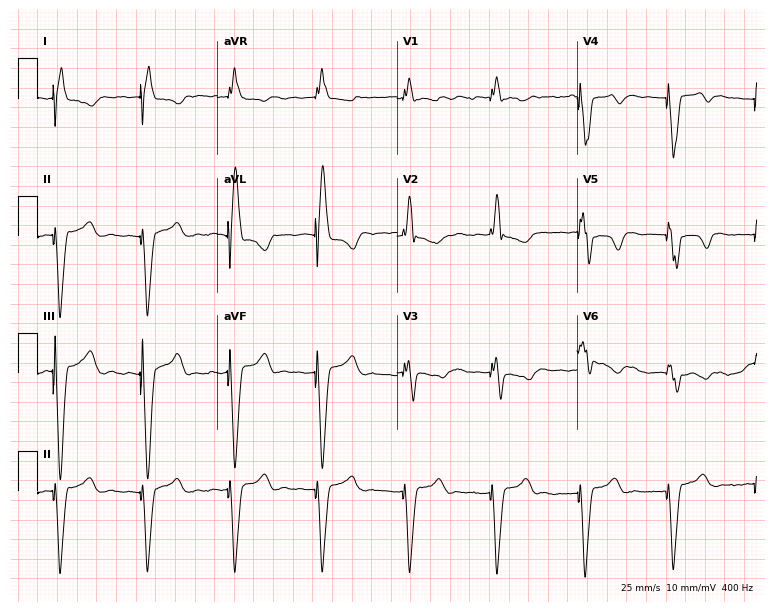
Resting 12-lead electrocardiogram. Patient: an 85-year-old female. None of these six findings is recorded: first-degree AV block, right bundle branch block (RBBB), left bundle branch block (LBBB), sinus bradycardia, atrial fibrillation (AF), sinus tachycardia.